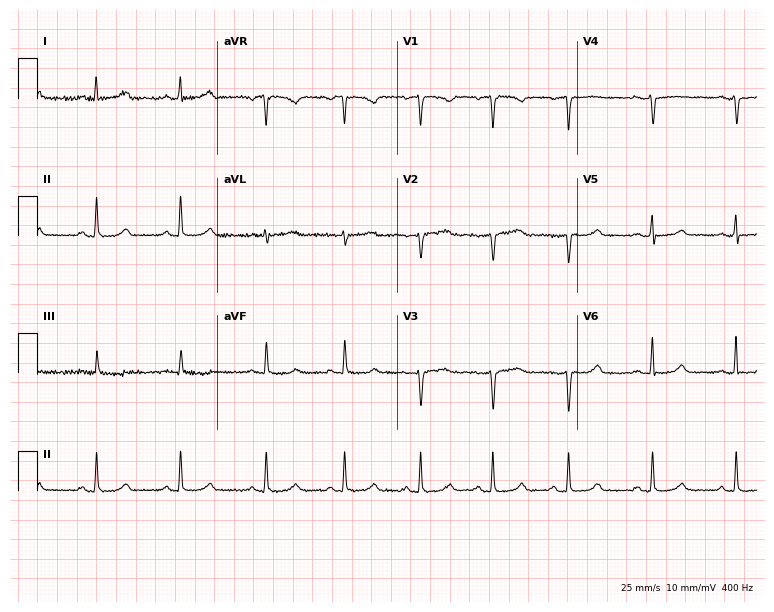
12-lead ECG (7.3-second recording at 400 Hz) from a female patient, 41 years old. Screened for six findings — first-degree AV block, right bundle branch block (RBBB), left bundle branch block (LBBB), sinus bradycardia, atrial fibrillation (AF), sinus tachycardia — none is recorded.